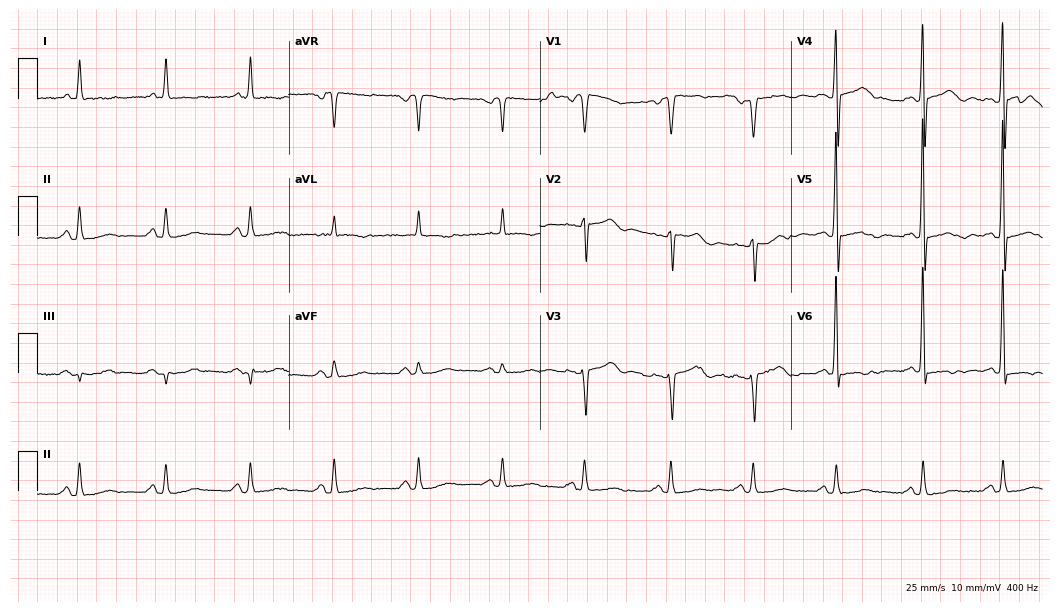
Standard 12-lead ECG recorded from a female patient, 81 years old (10.2-second recording at 400 Hz). None of these six findings is recorded: first-degree AV block, right bundle branch block (RBBB), left bundle branch block (LBBB), sinus bradycardia, atrial fibrillation (AF), sinus tachycardia. Only these six findings were labelled.